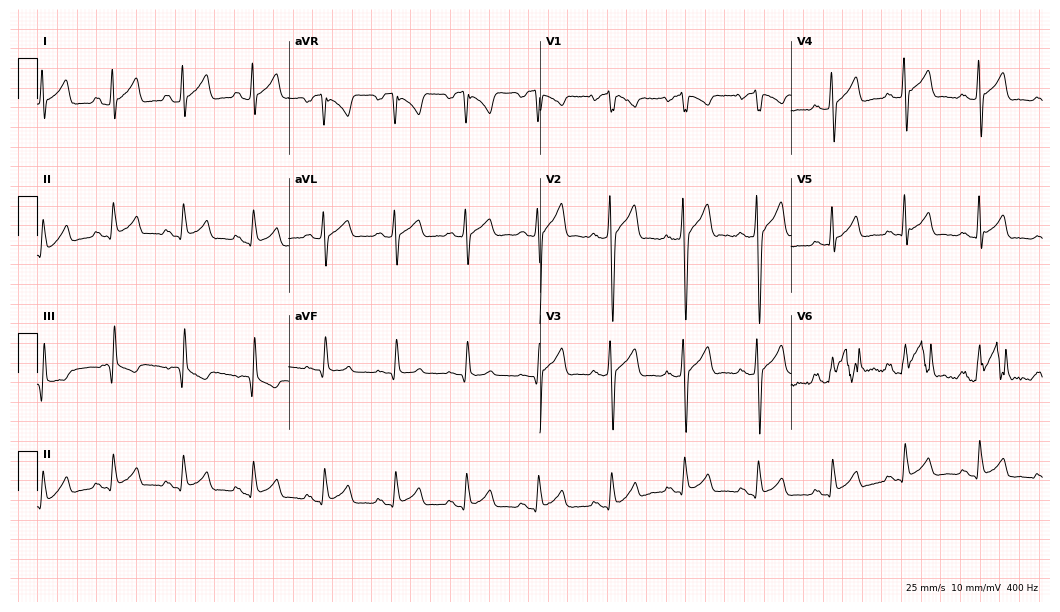
Resting 12-lead electrocardiogram (10.2-second recording at 400 Hz). Patient: a 22-year-old male. Read as a normal ECG.